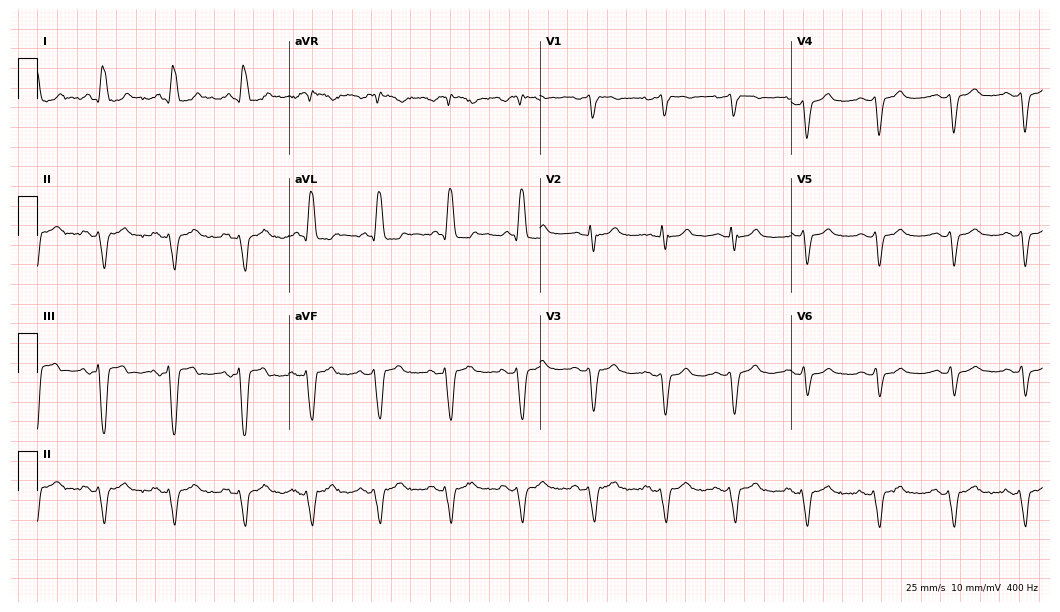
Electrocardiogram, a 69-year-old female patient. Of the six screened findings (first-degree AV block, right bundle branch block, left bundle branch block, sinus bradycardia, atrial fibrillation, sinus tachycardia), none is recorded.